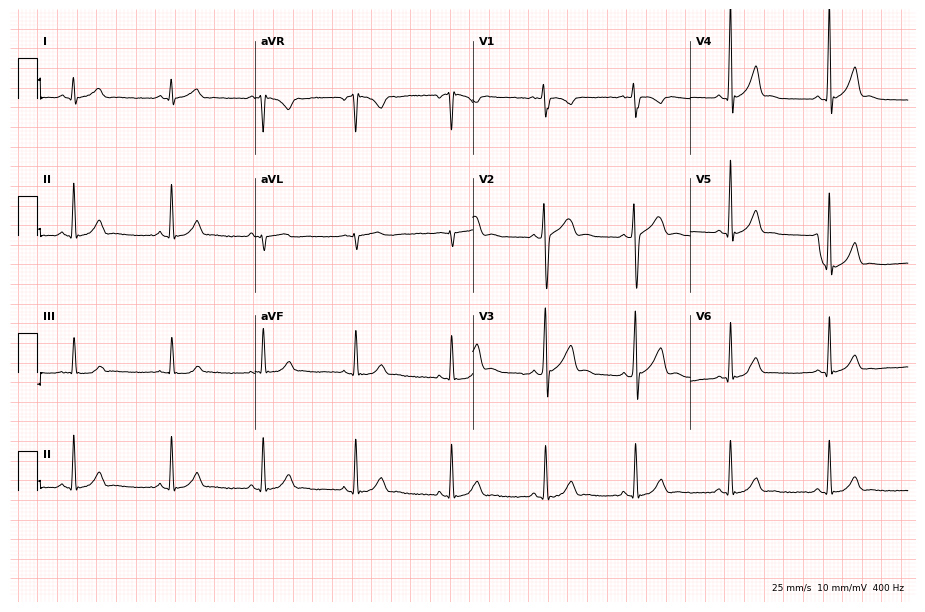
ECG (8.9-second recording at 400 Hz) — a 17-year-old male. Labelled as a normal ECG.